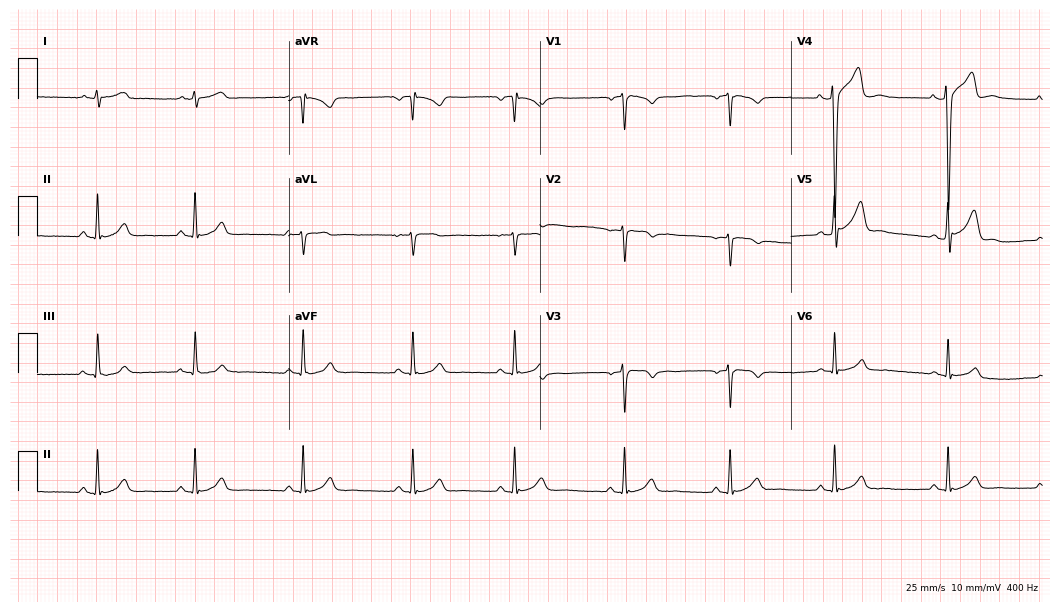
ECG — a man, 21 years old. Labelled as a normal ECG.